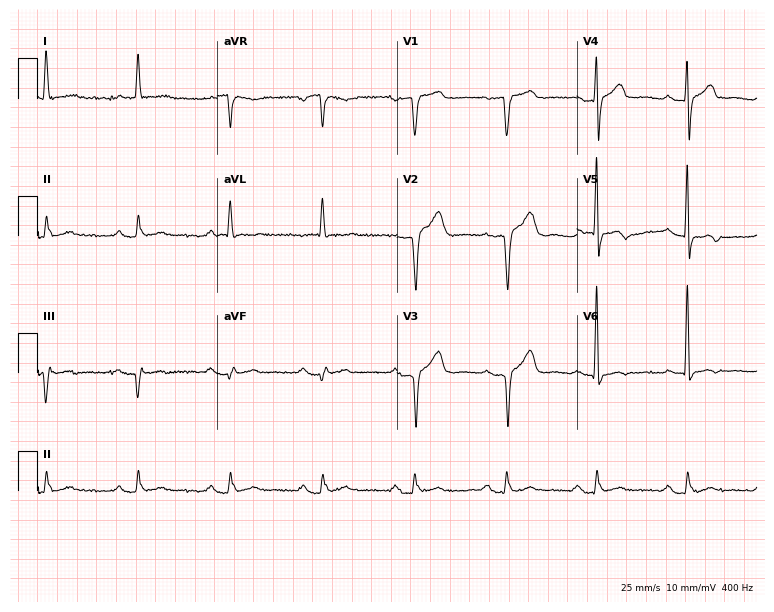
Electrocardiogram (7.3-second recording at 400 Hz), a male patient, 79 years old. Interpretation includes first-degree AV block.